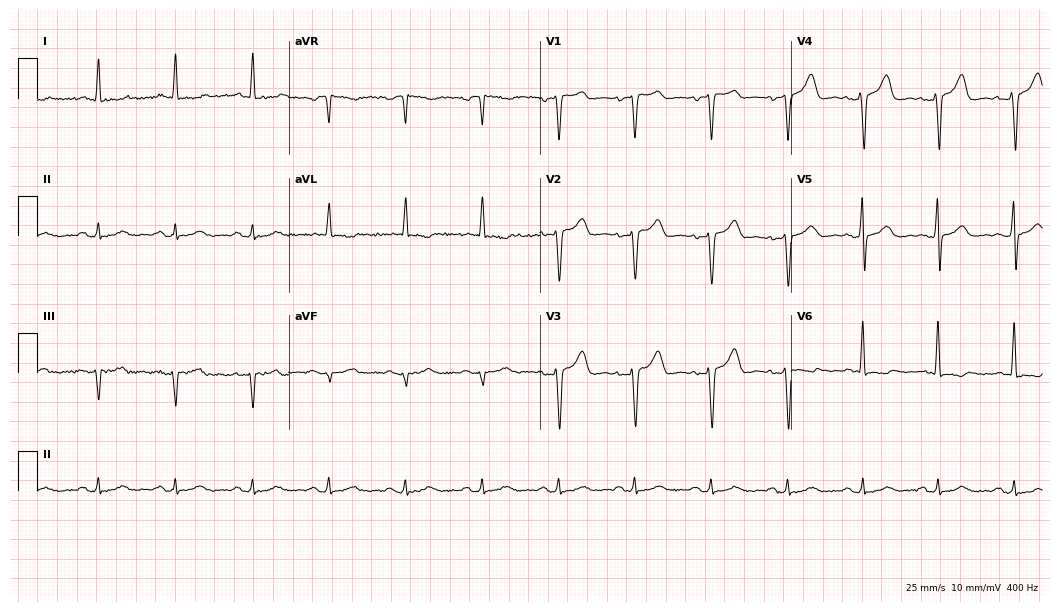
12-lead ECG from a 48-year-old woman. No first-degree AV block, right bundle branch block, left bundle branch block, sinus bradycardia, atrial fibrillation or sinus tachycardia recorded for this tracing.